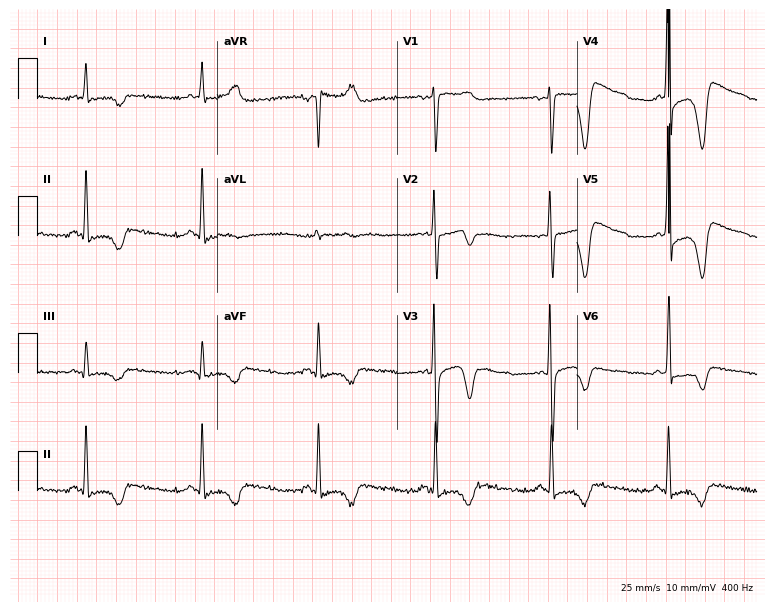
Resting 12-lead electrocardiogram. Patient: a 53-year-old man. None of these six findings is recorded: first-degree AV block, right bundle branch block, left bundle branch block, sinus bradycardia, atrial fibrillation, sinus tachycardia.